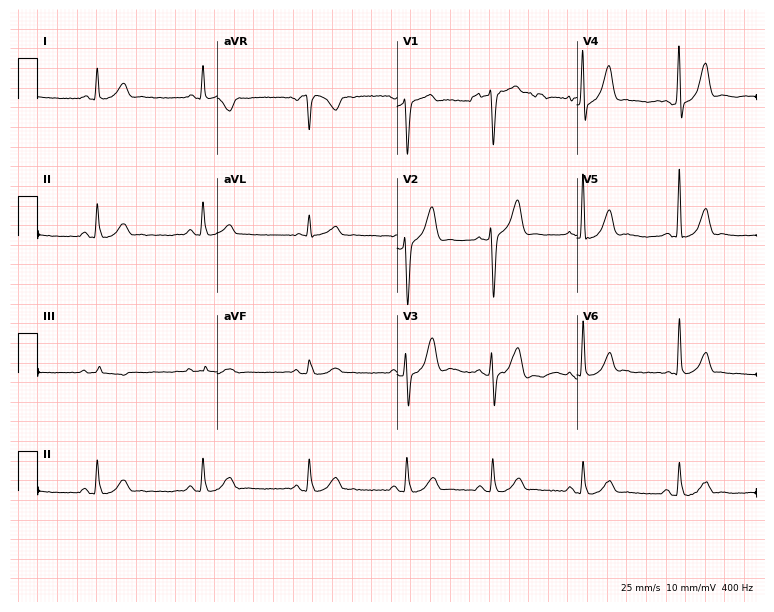
12-lead ECG from a 49-year-old man. No first-degree AV block, right bundle branch block, left bundle branch block, sinus bradycardia, atrial fibrillation or sinus tachycardia recorded for this tracing.